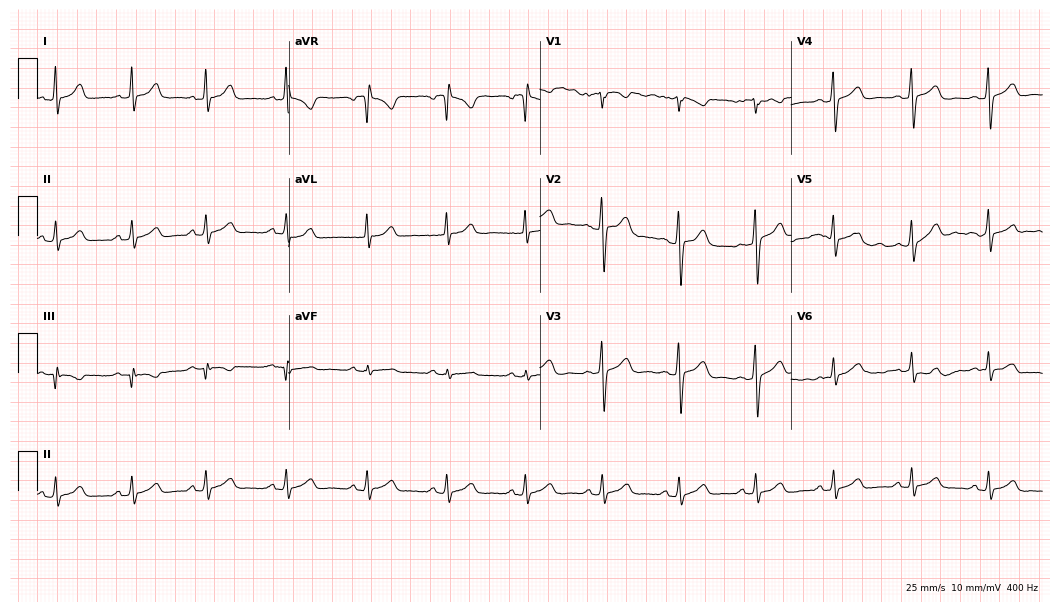
12-lead ECG (10.2-second recording at 400 Hz) from an 18-year-old woman. Labelled as a normal ECG.